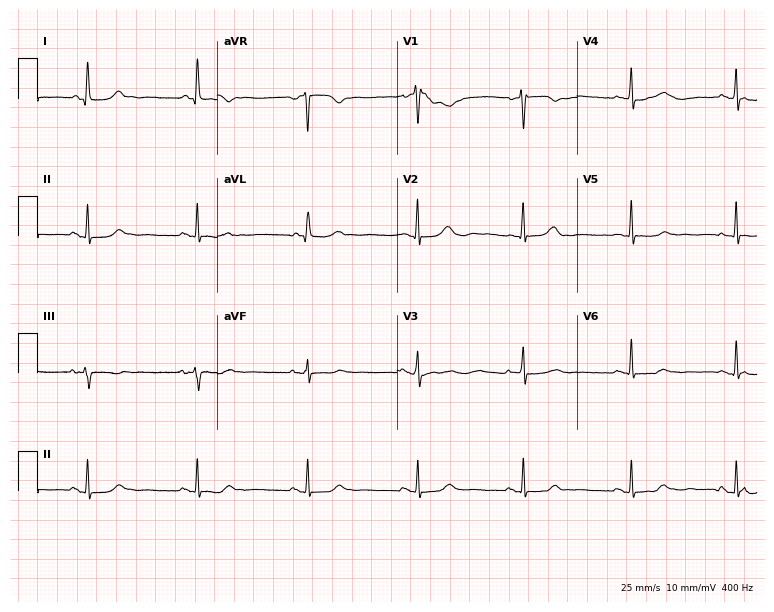
Resting 12-lead electrocardiogram (7.3-second recording at 400 Hz). Patient: a female, 74 years old. Read as a normal ECG.